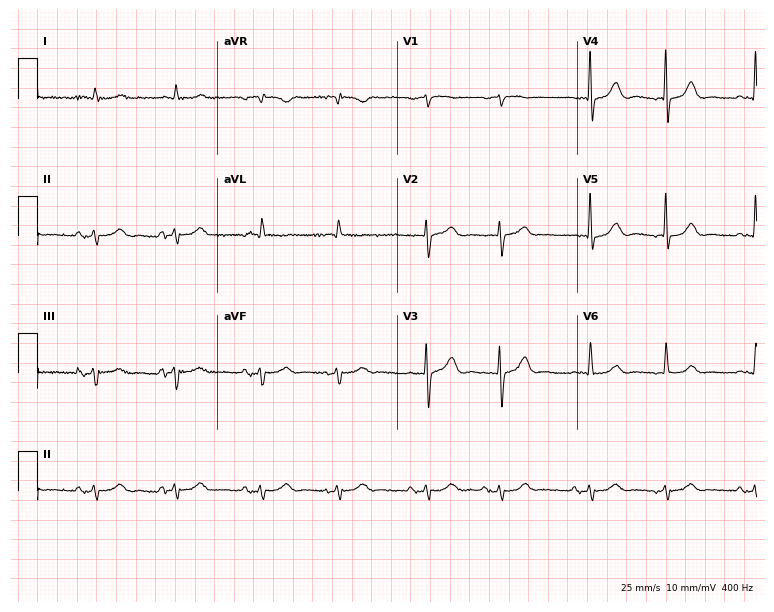
Resting 12-lead electrocardiogram. Patient: a man, 83 years old. None of these six findings is recorded: first-degree AV block, right bundle branch block, left bundle branch block, sinus bradycardia, atrial fibrillation, sinus tachycardia. Findings outside these six are not listed.